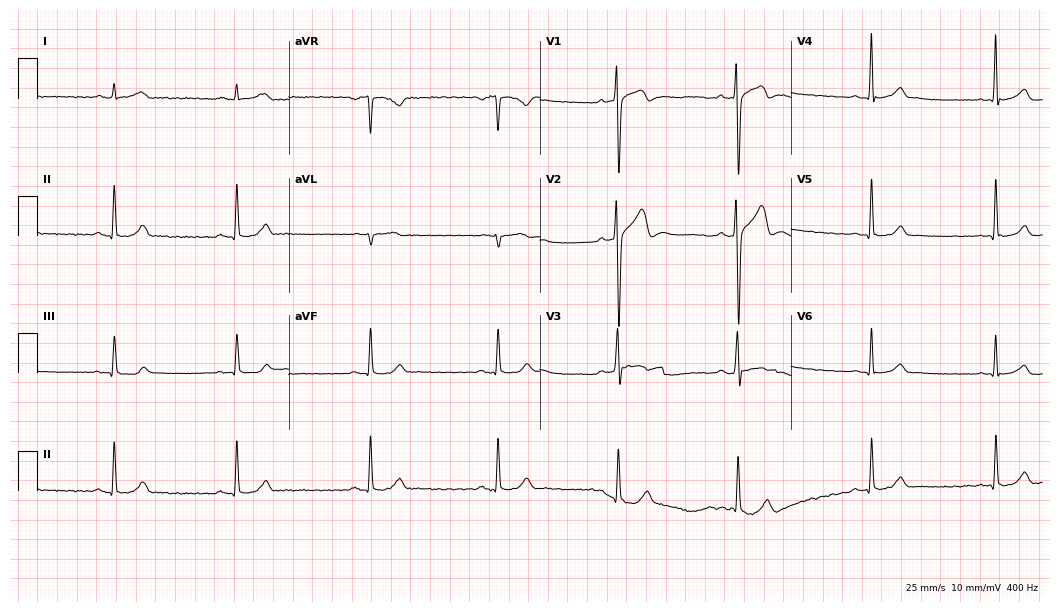
ECG (10.2-second recording at 400 Hz) — a 19-year-old male patient. Labelled as a normal ECG.